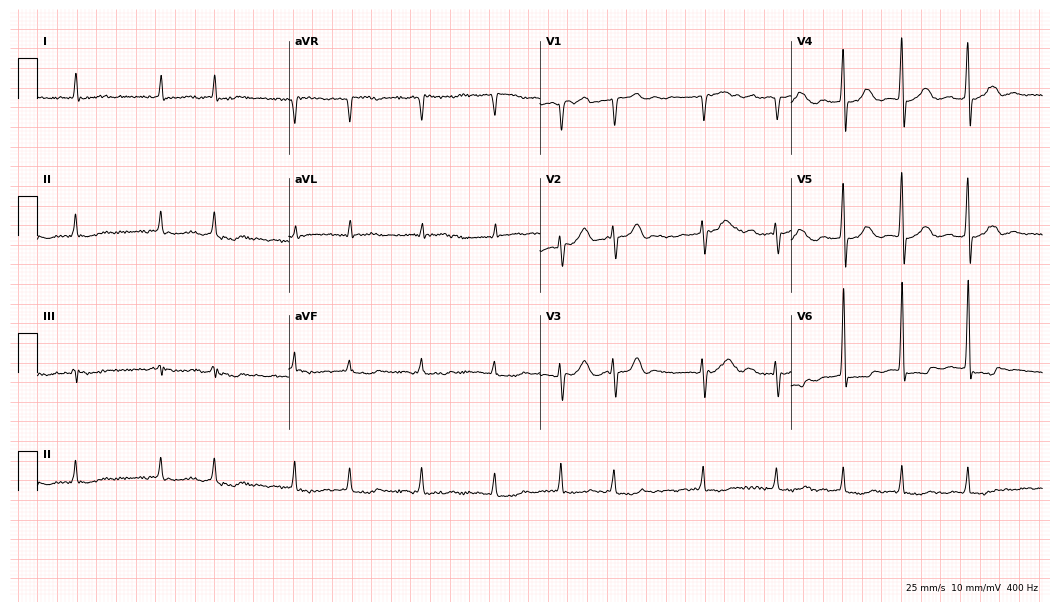
Electrocardiogram (10.2-second recording at 400 Hz), an 88-year-old male. Interpretation includes atrial fibrillation.